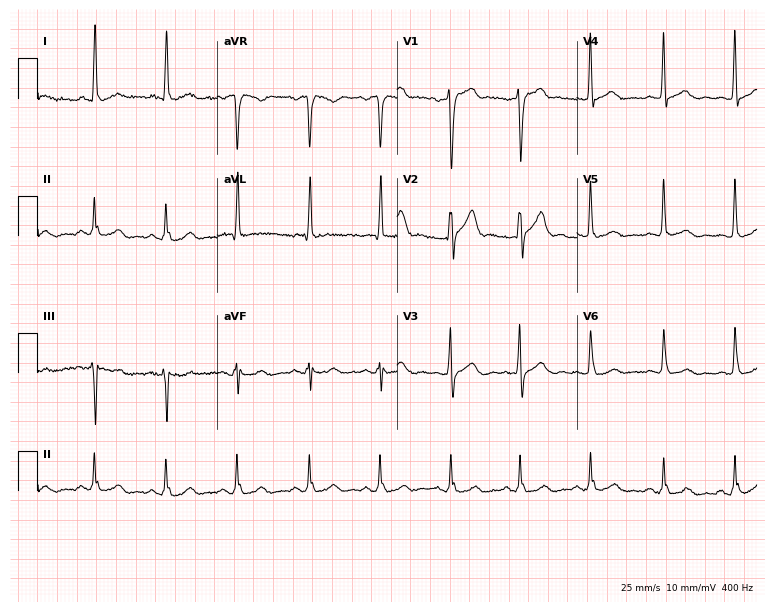
ECG (7.3-second recording at 400 Hz) — a male patient, 49 years old. Labelled as a normal ECG.